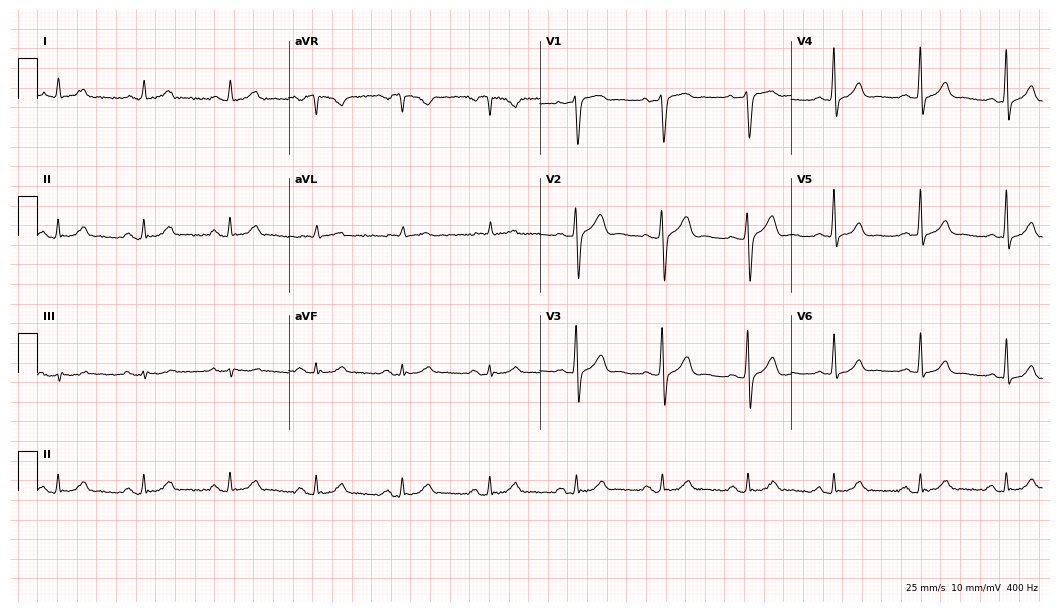
Standard 12-lead ECG recorded from a male patient, 60 years old. Read as a normal ECG.